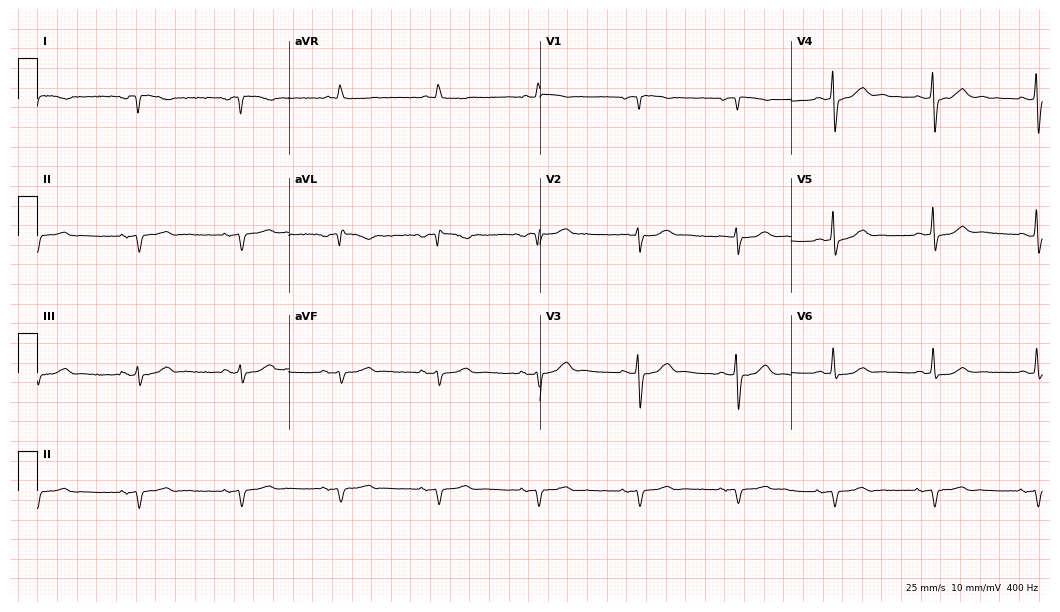
Electrocardiogram, a 62-year-old male. Overall reading on record: normal ECG.